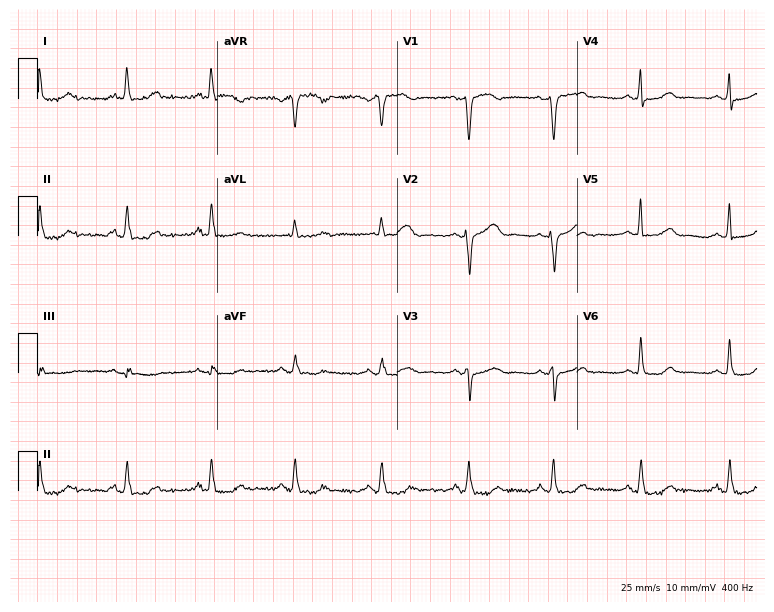
12-lead ECG from a female patient, 62 years old. Screened for six findings — first-degree AV block, right bundle branch block (RBBB), left bundle branch block (LBBB), sinus bradycardia, atrial fibrillation (AF), sinus tachycardia — none is recorded.